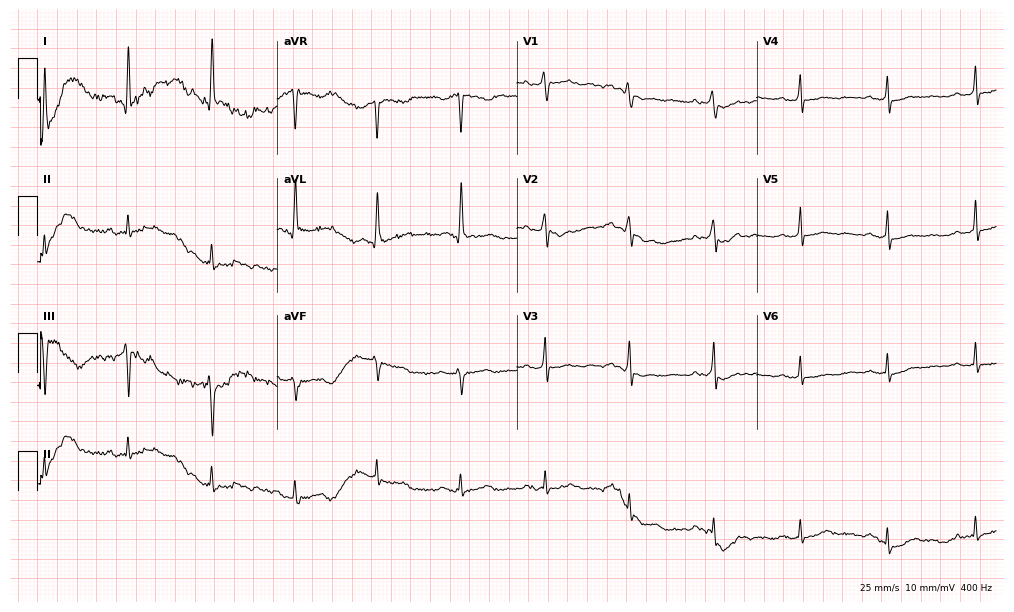
Resting 12-lead electrocardiogram (9.8-second recording at 400 Hz). Patient: a man, 73 years old. None of these six findings is recorded: first-degree AV block, right bundle branch block, left bundle branch block, sinus bradycardia, atrial fibrillation, sinus tachycardia.